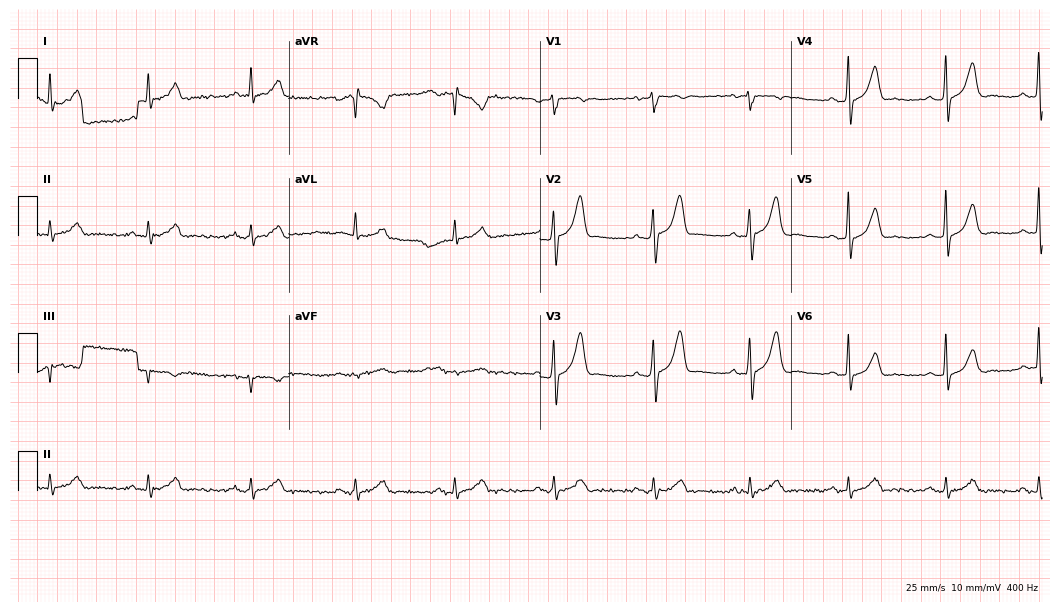
12-lead ECG (10.2-second recording at 400 Hz) from a 51-year-old male. Screened for six findings — first-degree AV block, right bundle branch block (RBBB), left bundle branch block (LBBB), sinus bradycardia, atrial fibrillation (AF), sinus tachycardia — none is recorded. Other findings, if any, are not listed.